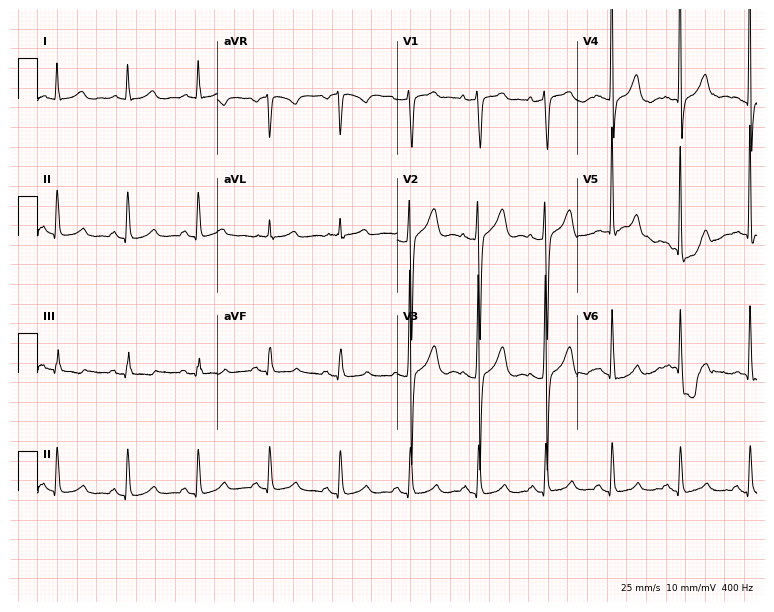
Standard 12-lead ECG recorded from a man, 80 years old. Read as a normal ECG.